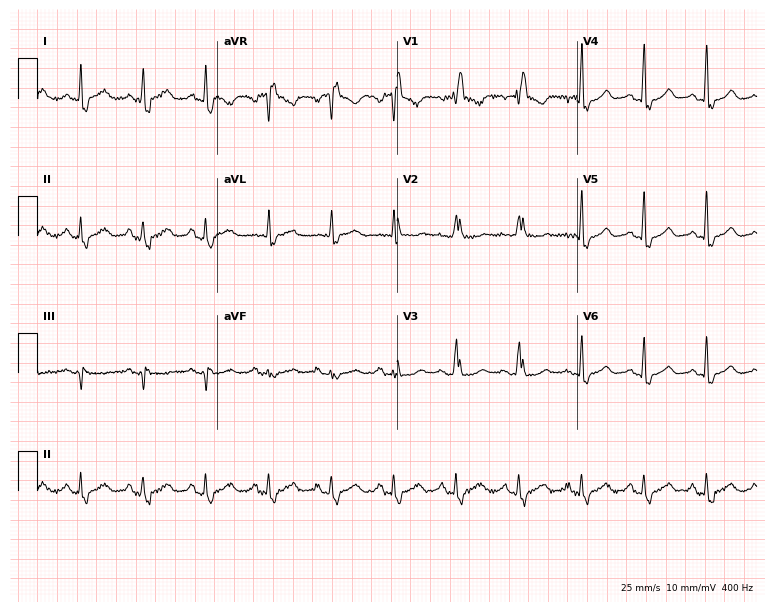
Electrocardiogram, a 69-year-old female patient. Interpretation includes right bundle branch block.